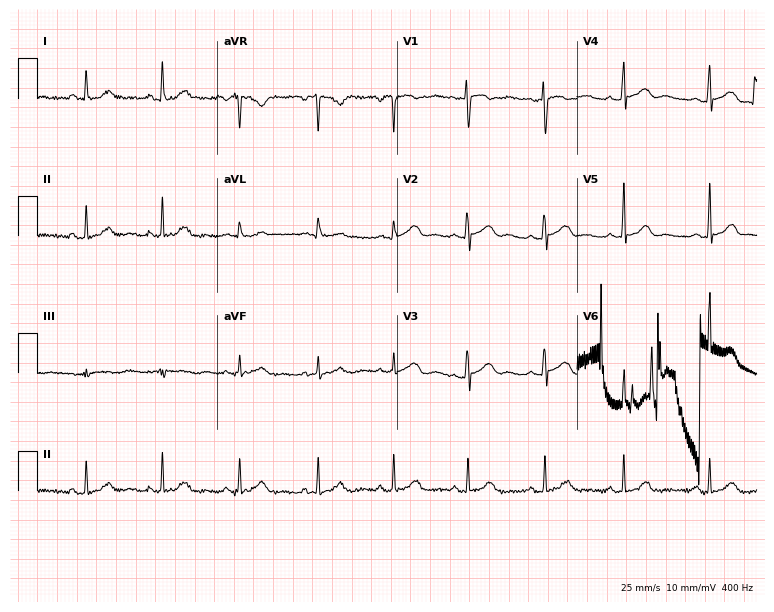
Standard 12-lead ECG recorded from a female, 32 years old (7.3-second recording at 400 Hz). Read as a normal ECG.